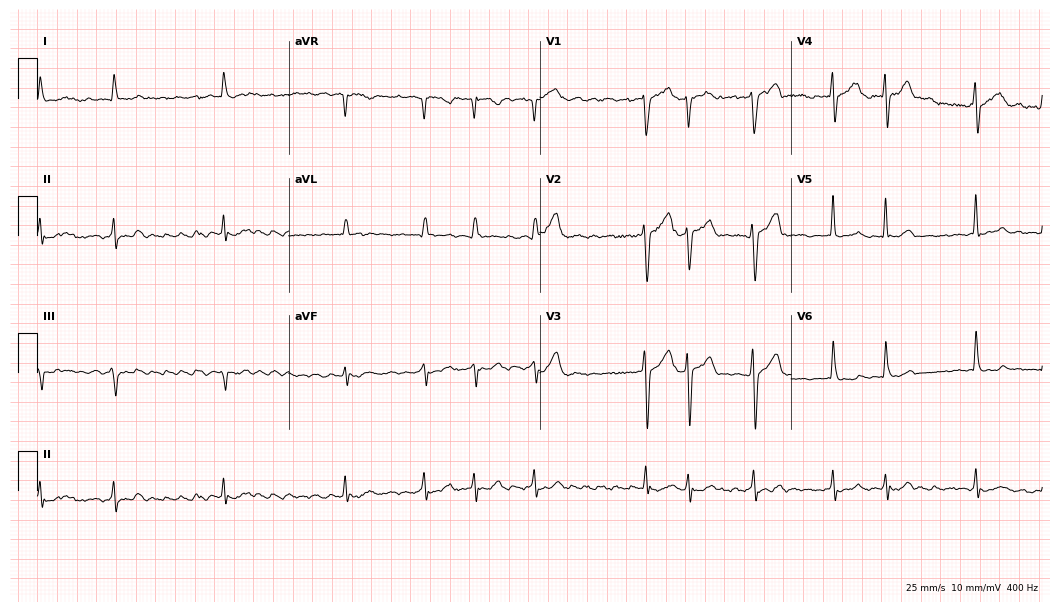
12-lead ECG (10.2-second recording at 400 Hz) from a male, 58 years old. Findings include atrial fibrillation.